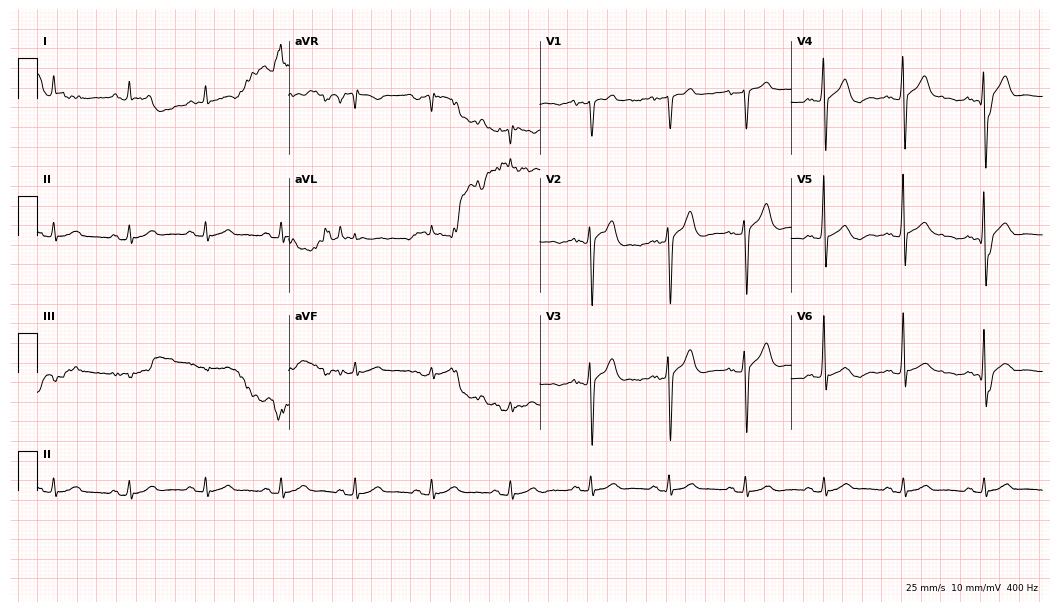
Resting 12-lead electrocardiogram. Patient: a female, 57 years old. Read as a normal ECG.